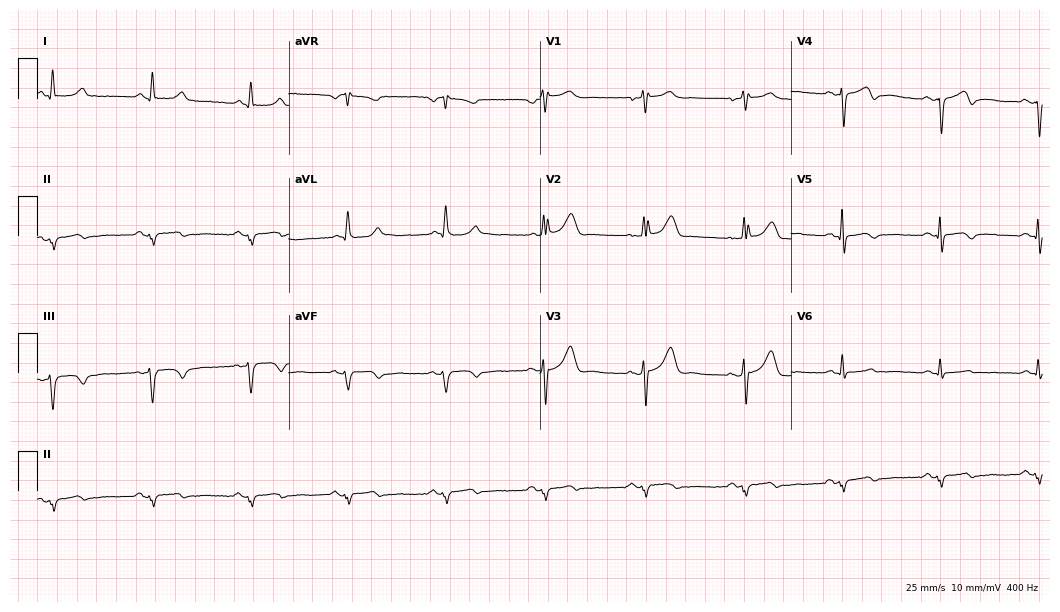
ECG (10.2-second recording at 400 Hz) — a 63-year-old male. Screened for six findings — first-degree AV block, right bundle branch block, left bundle branch block, sinus bradycardia, atrial fibrillation, sinus tachycardia — none is recorded.